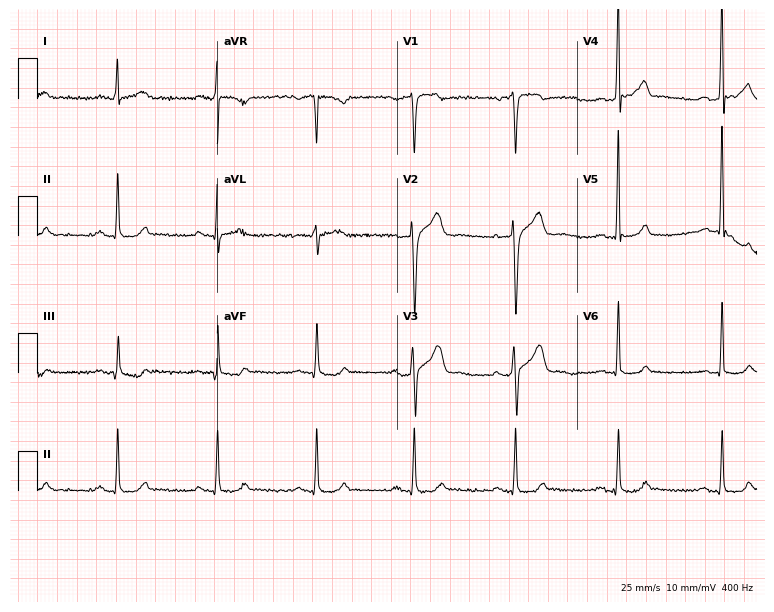
Resting 12-lead electrocardiogram (7.3-second recording at 400 Hz). Patient: a 54-year-old man. Read as a normal ECG.